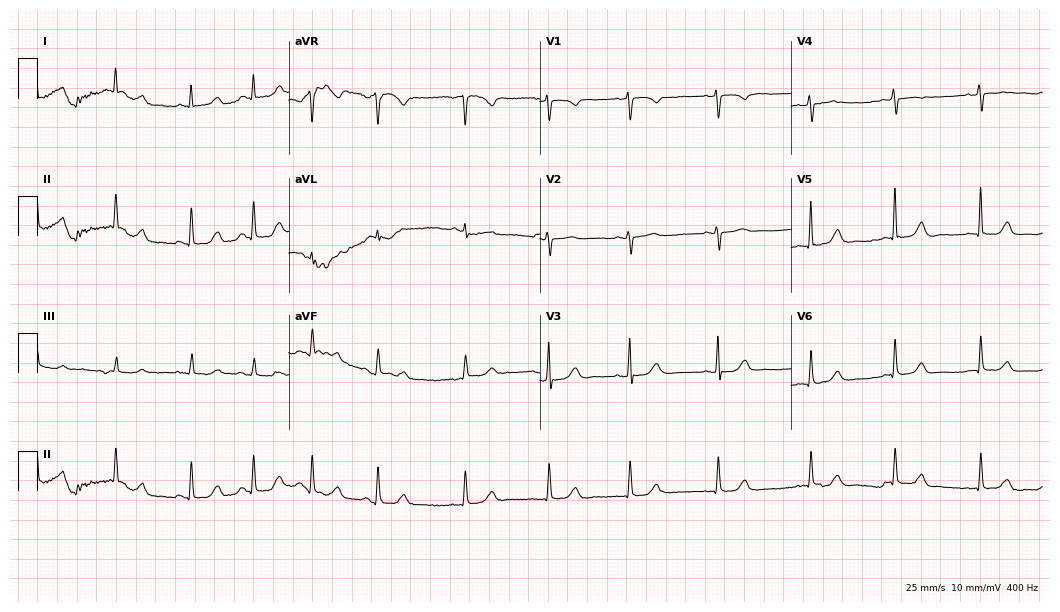
Resting 12-lead electrocardiogram. Patient: a 72-year-old woman. None of these six findings is recorded: first-degree AV block, right bundle branch block, left bundle branch block, sinus bradycardia, atrial fibrillation, sinus tachycardia.